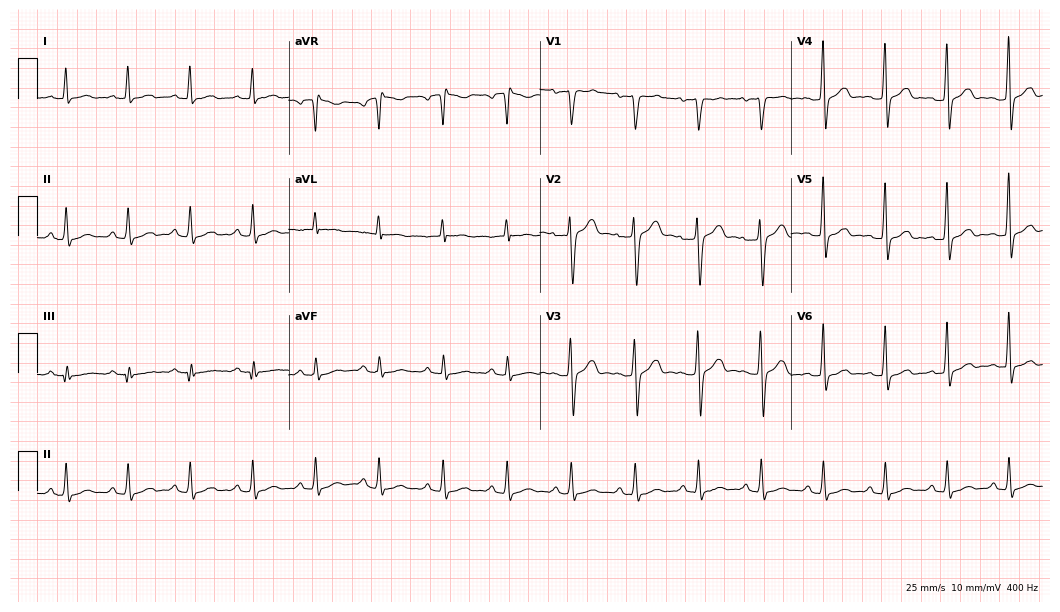
Standard 12-lead ECG recorded from a male, 37 years old (10.2-second recording at 400 Hz). Read as a normal ECG.